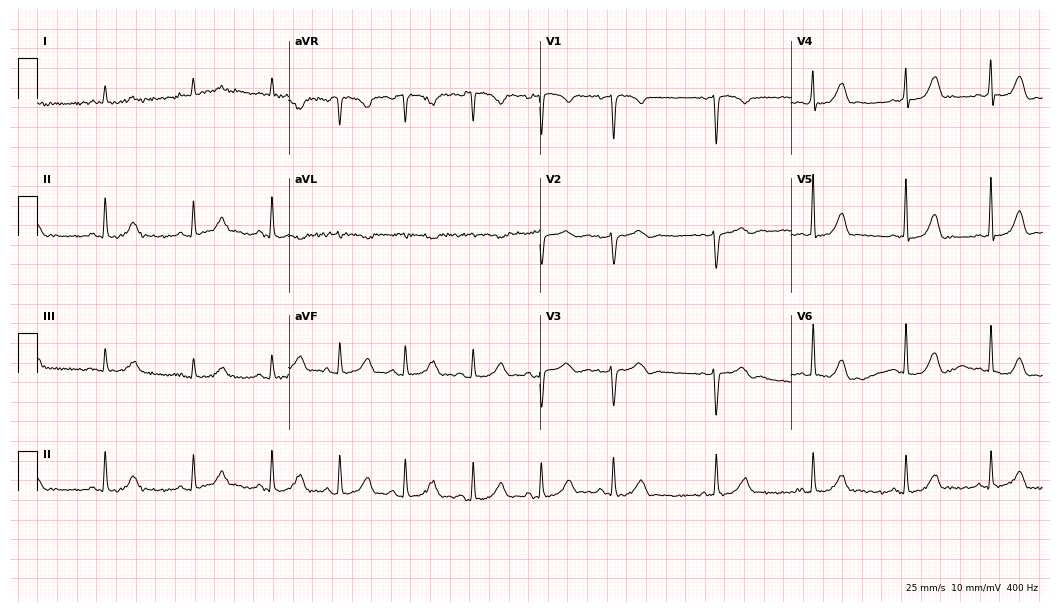
Standard 12-lead ECG recorded from a 44-year-old male patient. Read as a normal ECG.